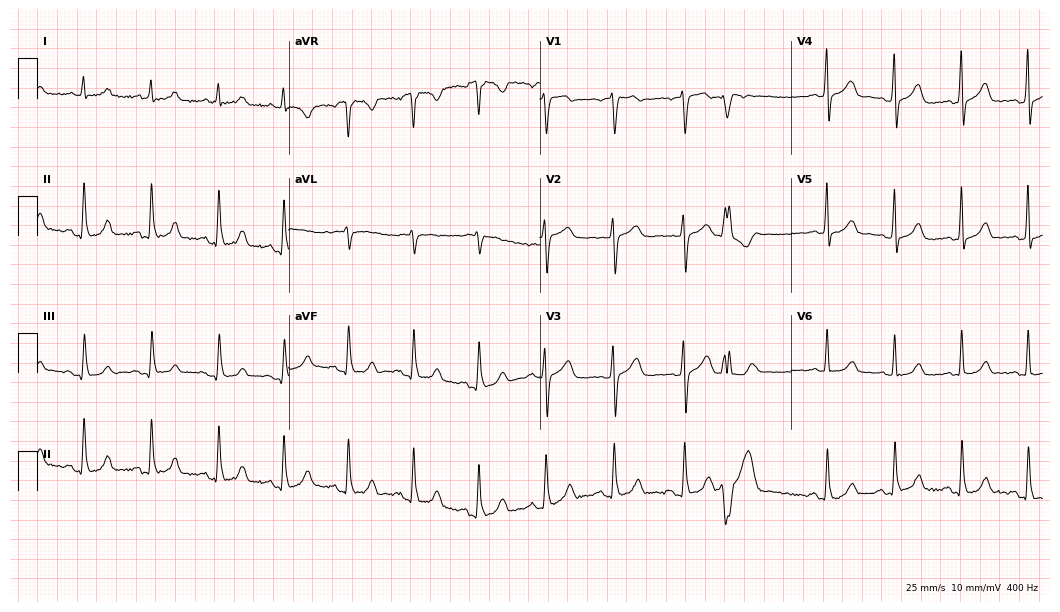
Standard 12-lead ECG recorded from a 60-year-old man (10.2-second recording at 400 Hz). Read as a normal ECG.